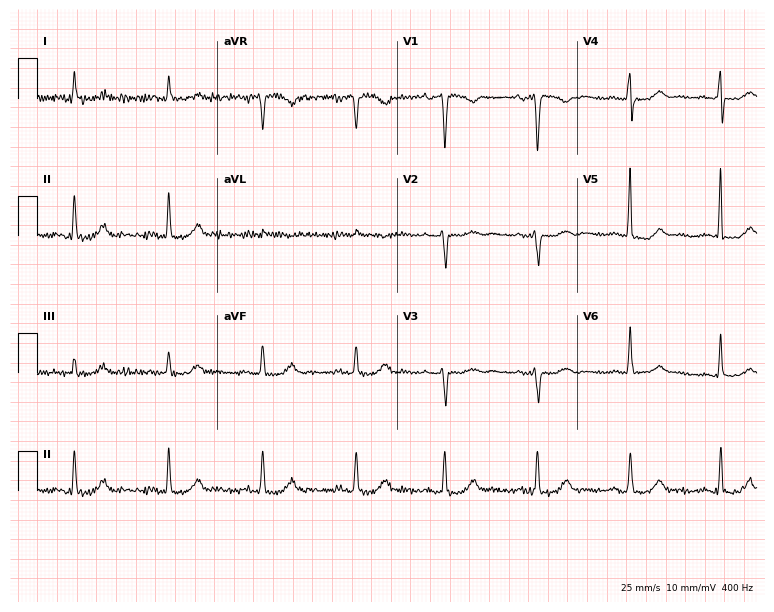
12-lead ECG from a 64-year-old female patient. Screened for six findings — first-degree AV block, right bundle branch block (RBBB), left bundle branch block (LBBB), sinus bradycardia, atrial fibrillation (AF), sinus tachycardia — none is recorded.